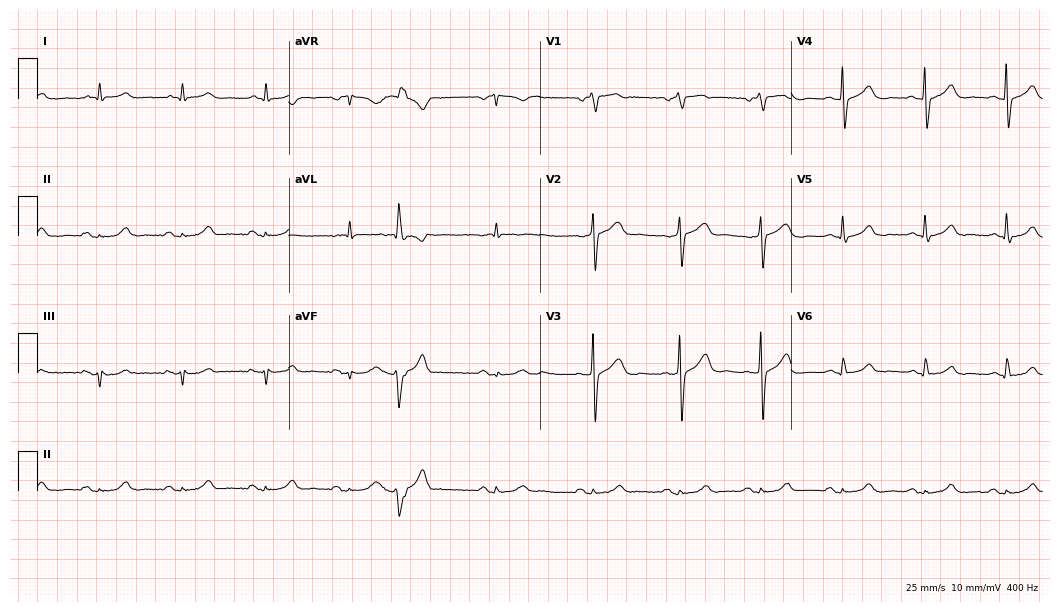
12-lead ECG (10.2-second recording at 400 Hz) from a man, 61 years old. Labelled as a normal ECG.